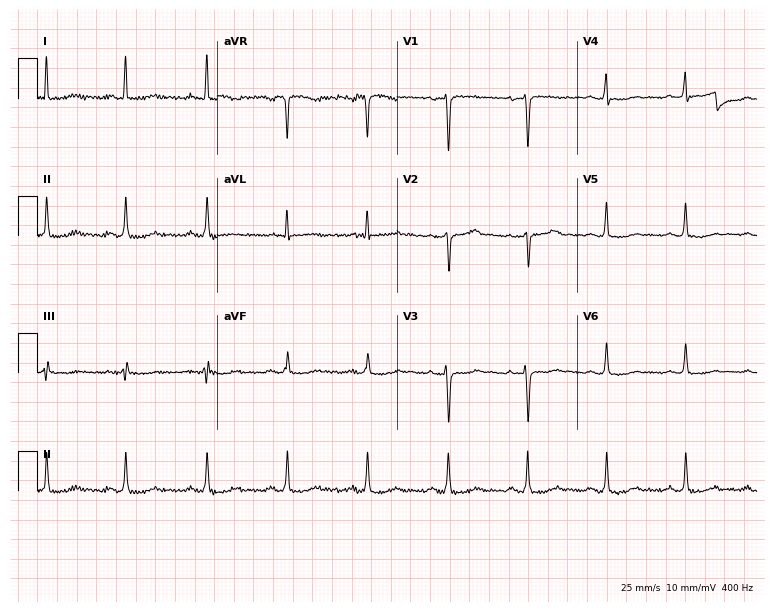
12-lead ECG from a 48-year-old female. No first-degree AV block, right bundle branch block, left bundle branch block, sinus bradycardia, atrial fibrillation or sinus tachycardia recorded for this tracing. Other findings, if any, are not listed.